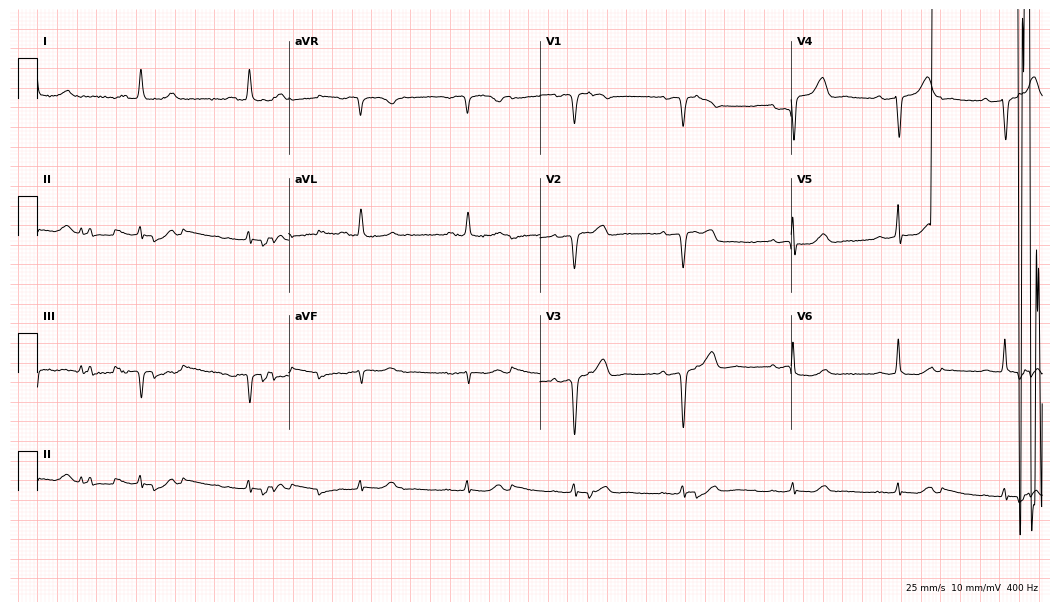
Resting 12-lead electrocardiogram (10.2-second recording at 400 Hz). Patient: an 80-year-old female. None of these six findings is recorded: first-degree AV block, right bundle branch block, left bundle branch block, sinus bradycardia, atrial fibrillation, sinus tachycardia.